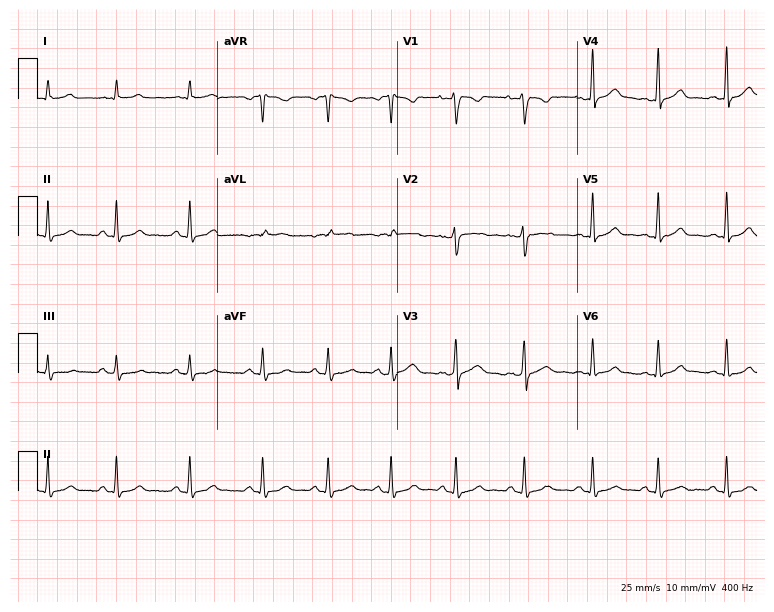
Electrocardiogram (7.3-second recording at 400 Hz), a female patient, 19 years old. Overall reading on record: normal ECG.